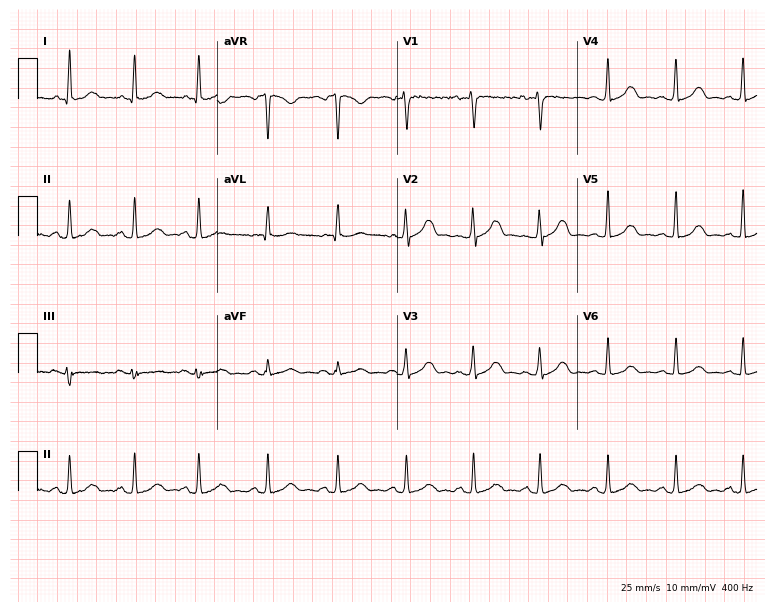
Resting 12-lead electrocardiogram (7.3-second recording at 400 Hz). Patient: a female, 53 years old. Read as a normal ECG.